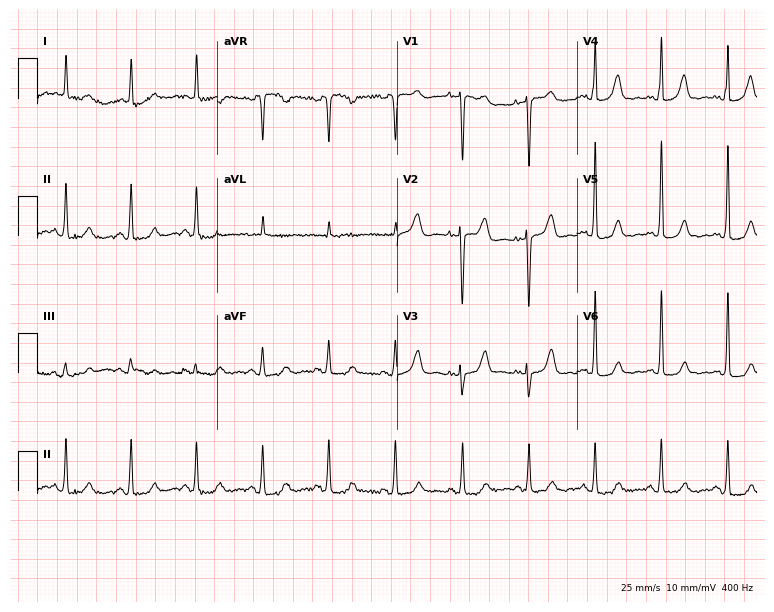
Standard 12-lead ECG recorded from a female, 81 years old (7.3-second recording at 400 Hz). None of these six findings is recorded: first-degree AV block, right bundle branch block, left bundle branch block, sinus bradycardia, atrial fibrillation, sinus tachycardia. Other findings, if any, are not listed.